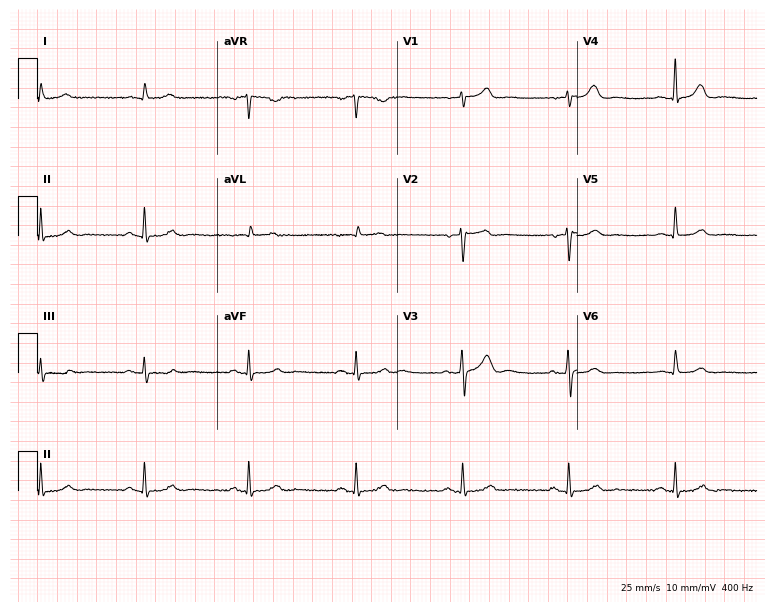
Electrocardiogram (7.3-second recording at 400 Hz), a male patient, 73 years old. Overall reading on record: normal ECG.